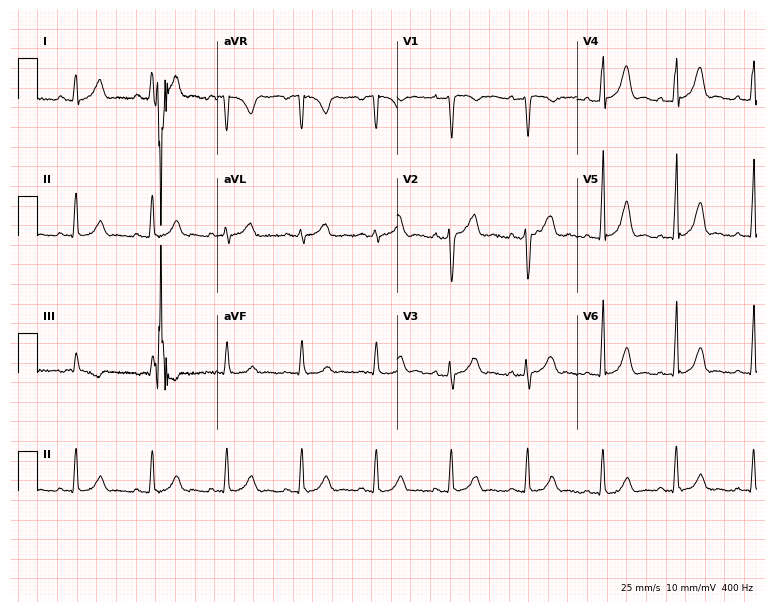
12-lead ECG (7.3-second recording at 400 Hz) from a woman, 19 years old. Screened for six findings — first-degree AV block, right bundle branch block, left bundle branch block, sinus bradycardia, atrial fibrillation, sinus tachycardia — none is recorded. Other findings, if any, are not listed.